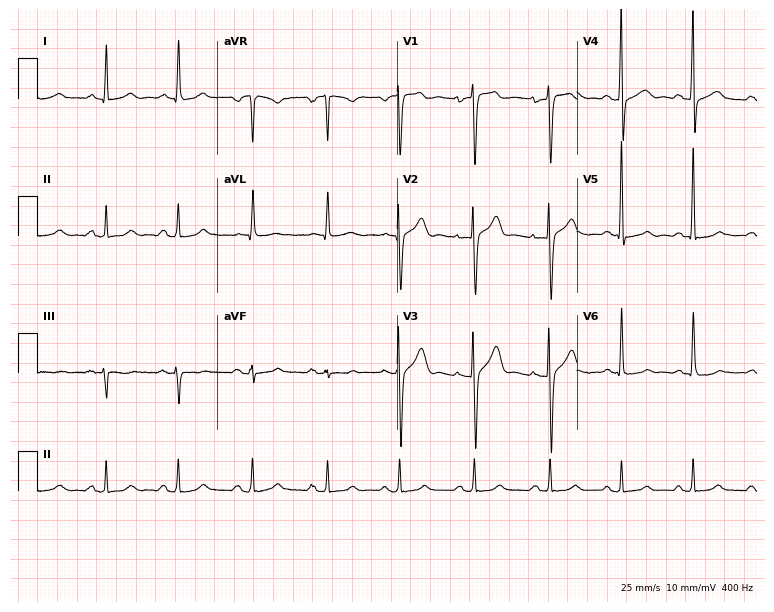
Electrocardiogram, a 53-year-old man. Overall reading on record: normal ECG.